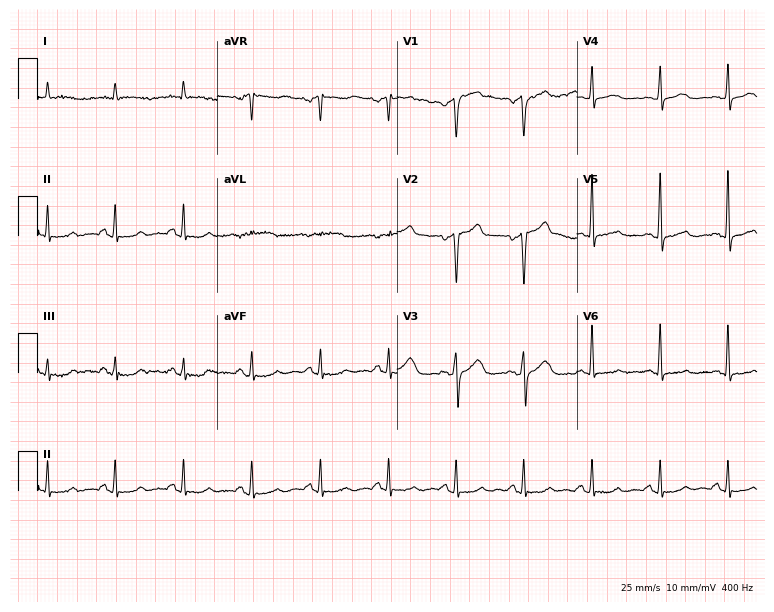
Standard 12-lead ECG recorded from a 57-year-old man (7.3-second recording at 400 Hz). None of these six findings is recorded: first-degree AV block, right bundle branch block, left bundle branch block, sinus bradycardia, atrial fibrillation, sinus tachycardia.